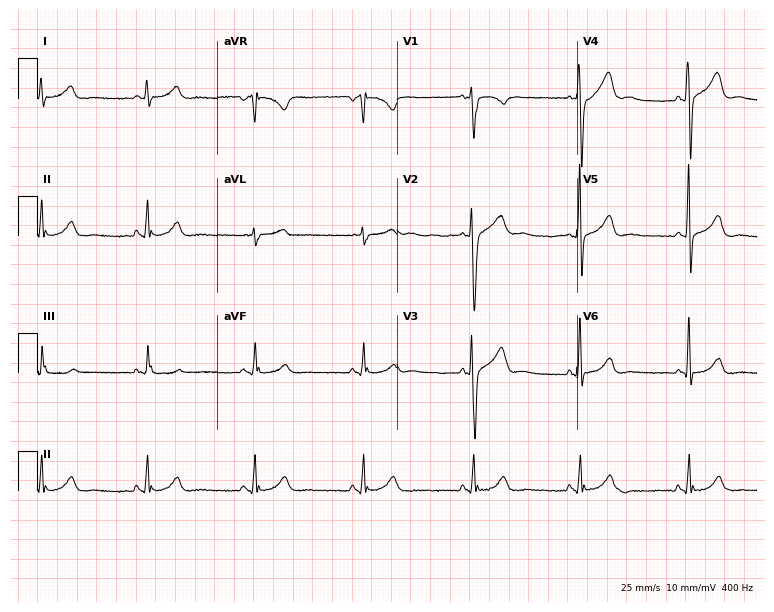
Resting 12-lead electrocardiogram (7.3-second recording at 400 Hz). Patient: a male, 46 years old. None of these six findings is recorded: first-degree AV block, right bundle branch block, left bundle branch block, sinus bradycardia, atrial fibrillation, sinus tachycardia. Other findings, if any, are not listed.